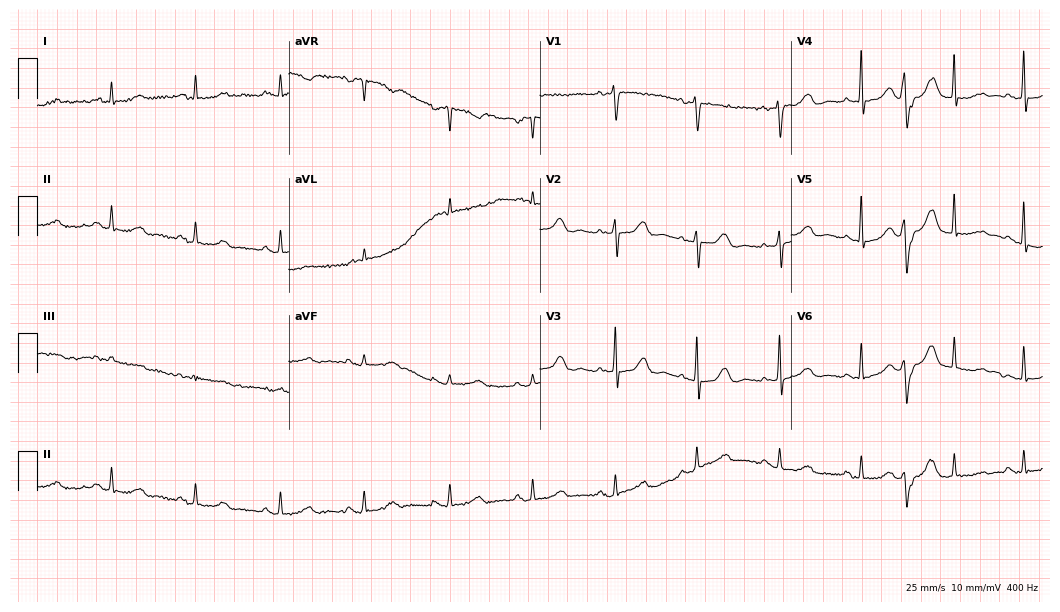
12-lead ECG from a woman, 84 years old (10.2-second recording at 400 Hz). Recorded interpretation: within normal limits.